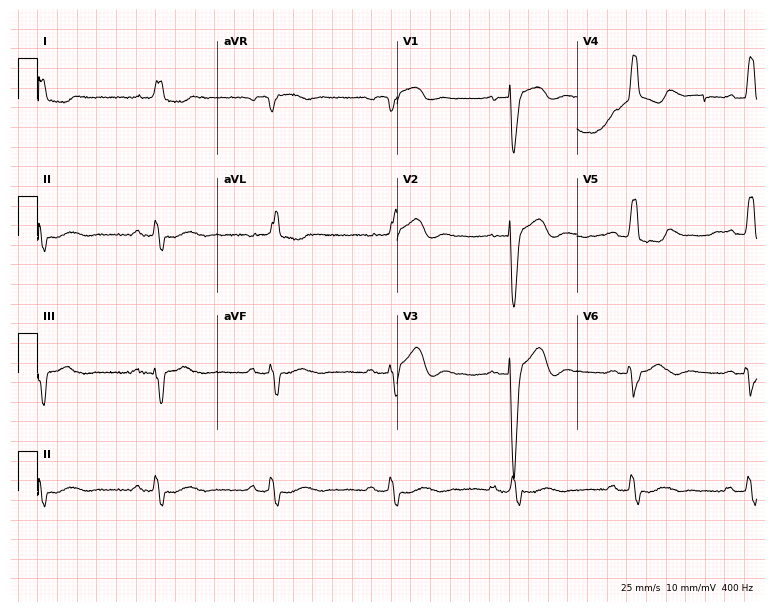
12-lead ECG from a female patient, 84 years old (7.3-second recording at 400 Hz). Shows first-degree AV block.